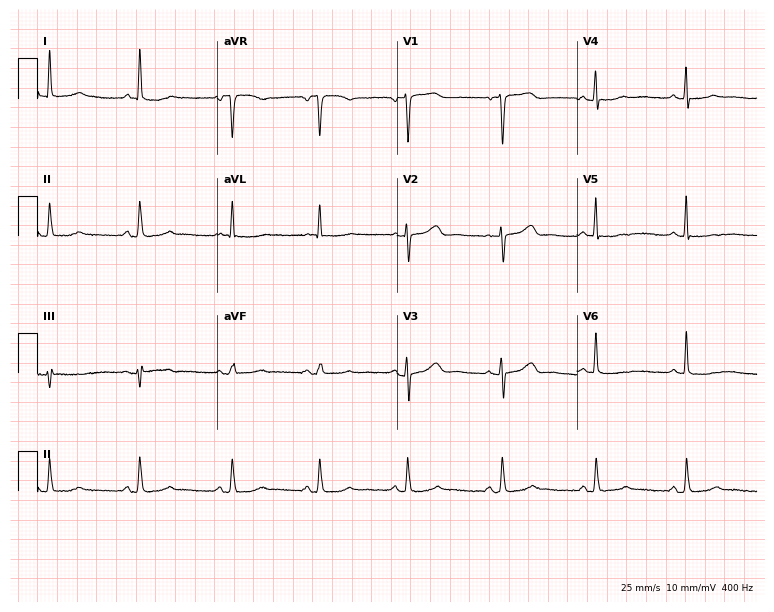
12-lead ECG (7.3-second recording at 400 Hz) from a 65-year-old female patient. Screened for six findings — first-degree AV block, right bundle branch block, left bundle branch block, sinus bradycardia, atrial fibrillation, sinus tachycardia — none is recorded. Findings outside these six are not listed.